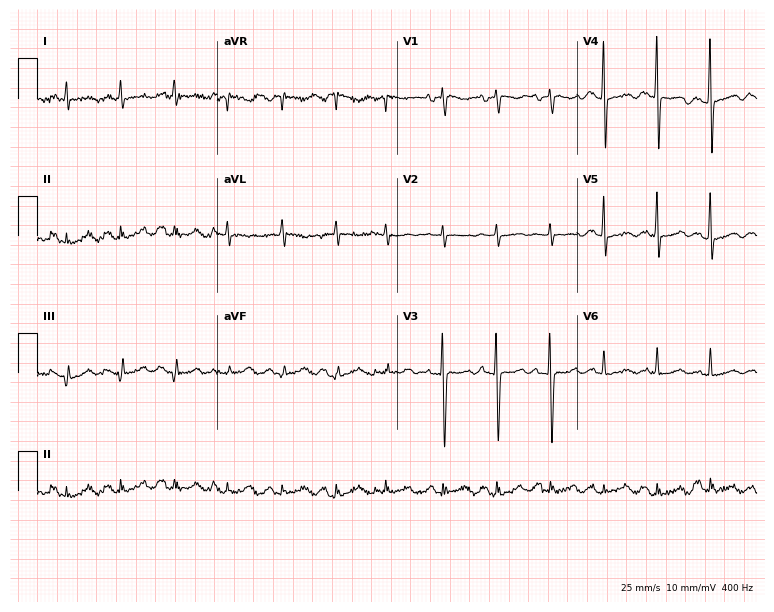
Electrocardiogram (7.3-second recording at 400 Hz), an 81-year-old woman. Interpretation includes sinus tachycardia (a sinus rate of 100 beats per minute or more).